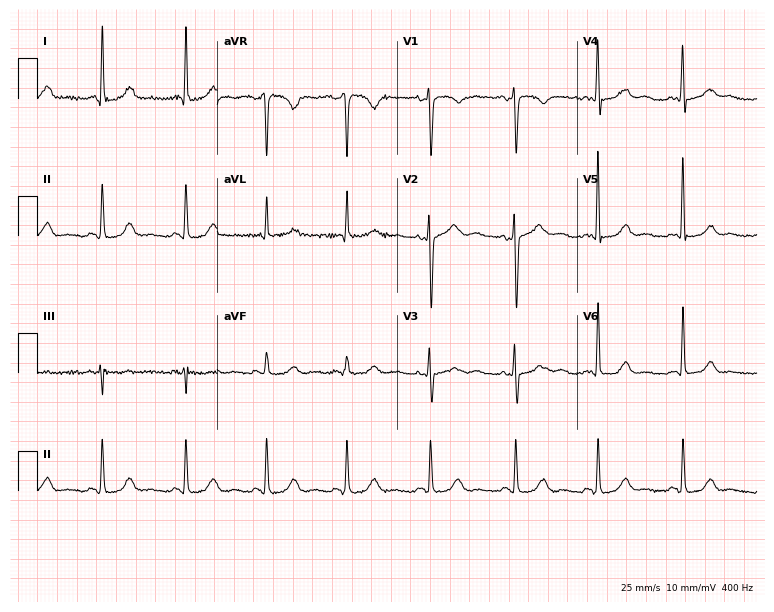
Resting 12-lead electrocardiogram. Patient: a female, 47 years old. None of these six findings is recorded: first-degree AV block, right bundle branch block, left bundle branch block, sinus bradycardia, atrial fibrillation, sinus tachycardia. Other findings, if any, are not listed.